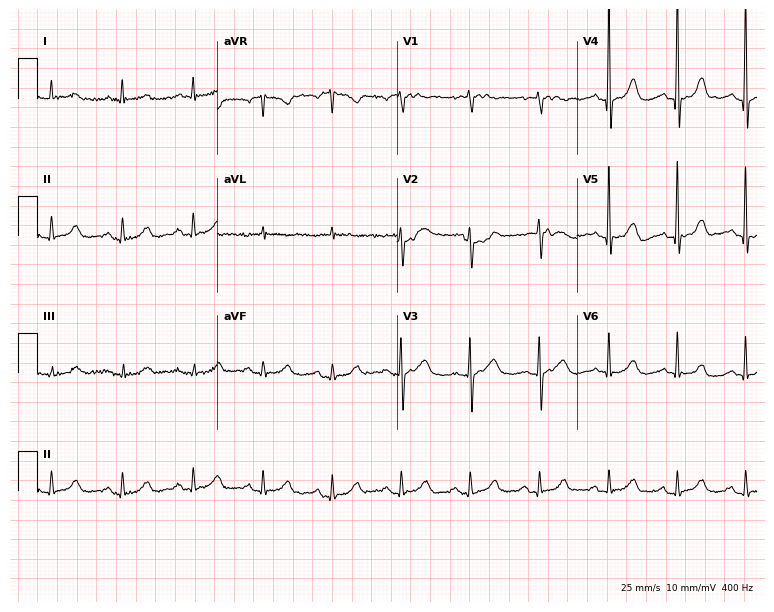
Resting 12-lead electrocardiogram (7.3-second recording at 400 Hz). Patient: a 68-year-old female. None of these six findings is recorded: first-degree AV block, right bundle branch block, left bundle branch block, sinus bradycardia, atrial fibrillation, sinus tachycardia.